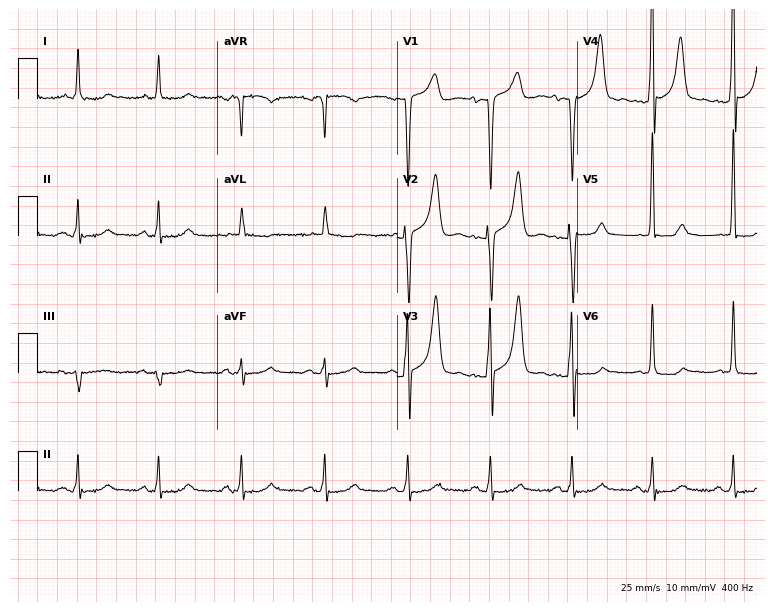
Electrocardiogram, a 49-year-old male. Overall reading on record: normal ECG.